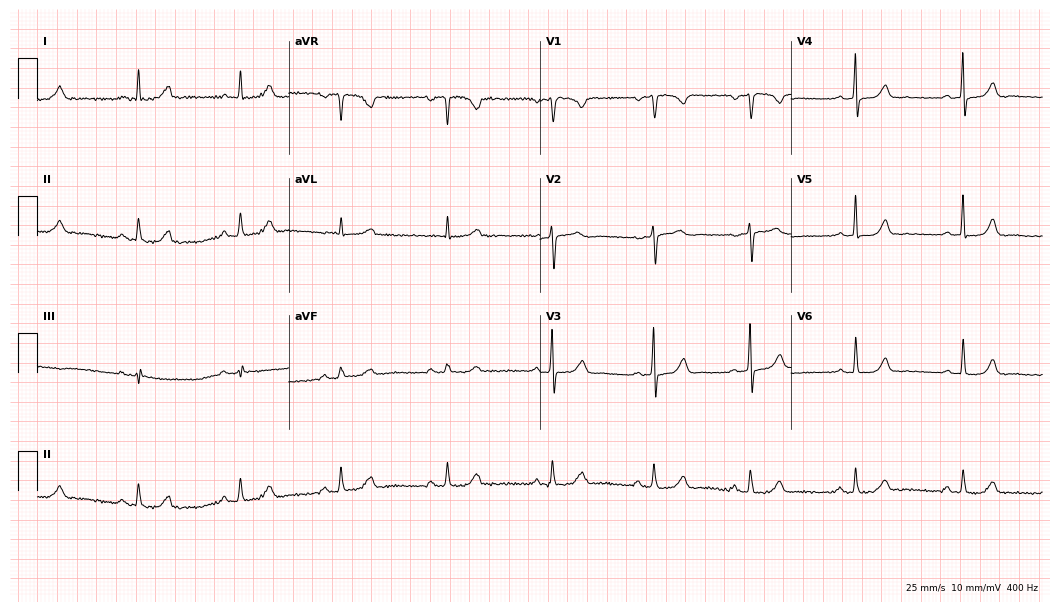
Resting 12-lead electrocardiogram (10.2-second recording at 400 Hz). Patient: a female, 48 years old. Read as a normal ECG.